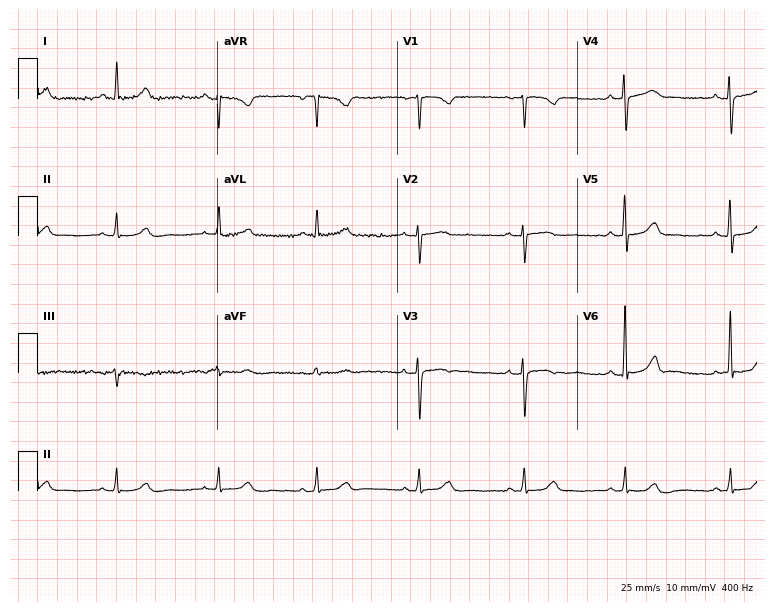
Resting 12-lead electrocardiogram (7.3-second recording at 400 Hz). Patient: a 53-year-old female. Read as a normal ECG.